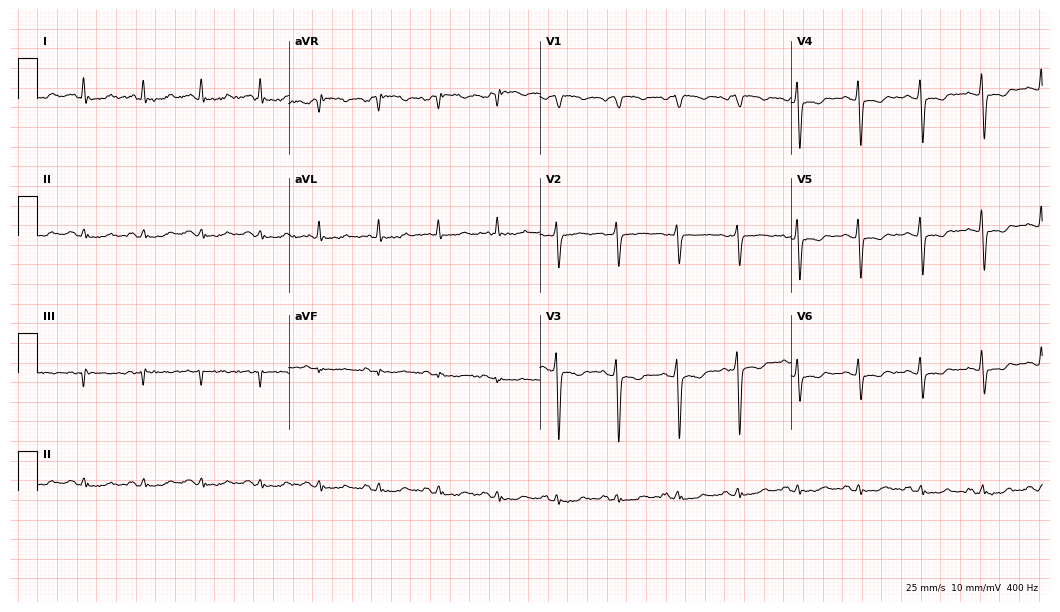
12-lead ECG (10.2-second recording at 400 Hz) from a man, 66 years old. Screened for six findings — first-degree AV block, right bundle branch block, left bundle branch block, sinus bradycardia, atrial fibrillation, sinus tachycardia — none is recorded. Only these six findings were labelled.